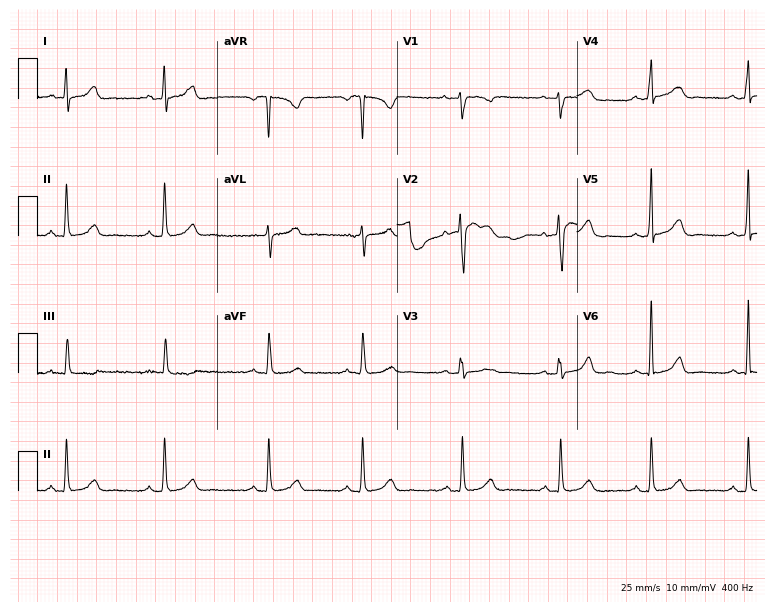
Standard 12-lead ECG recorded from a woman, 30 years old (7.3-second recording at 400 Hz). Read as a normal ECG.